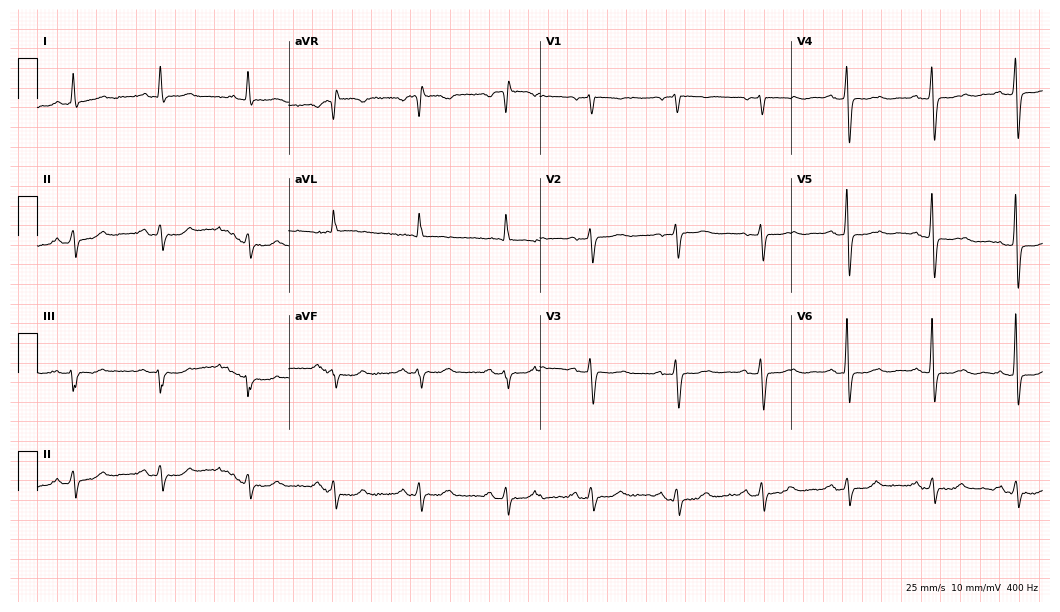
Standard 12-lead ECG recorded from a 69-year-old female (10.2-second recording at 400 Hz). None of these six findings is recorded: first-degree AV block, right bundle branch block, left bundle branch block, sinus bradycardia, atrial fibrillation, sinus tachycardia. Findings outside these six are not listed.